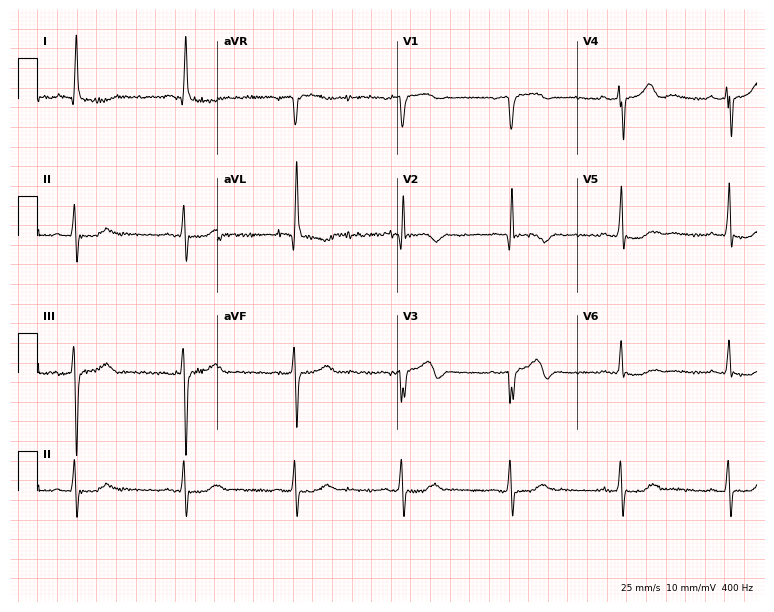
Electrocardiogram, a male patient, 77 years old. Of the six screened findings (first-degree AV block, right bundle branch block, left bundle branch block, sinus bradycardia, atrial fibrillation, sinus tachycardia), none is recorded.